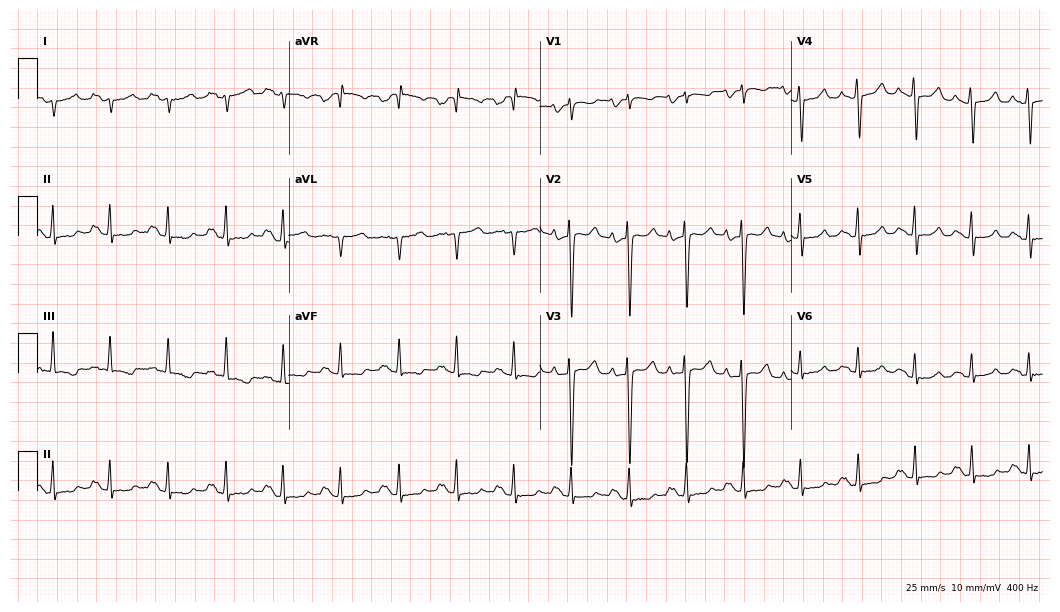
12-lead ECG (10.2-second recording at 400 Hz) from a 47-year-old female patient. Screened for six findings — first-degree AV block, right bundle branch block, left bundle branch block, sinus bradycardia, atrial fibrillation, sinus tachycardia — none is recorded. Findings outside these six are not listed.